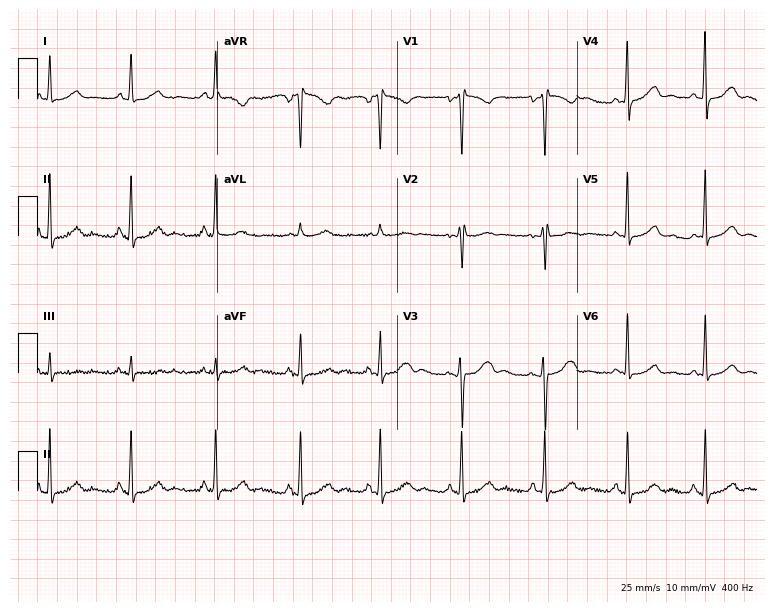
Electrocardiogram (7.3-second recording at 400 Hz), a 24-year-old woman. Of the six screened findings (first-degree AV block, right bundle branch block (RBBB), left bundle branch block (LBBB), sinus bradycardia, atrial fibrillation (AF), sinus tachycardia), none is recorded. Other findings, if any, are not listed.